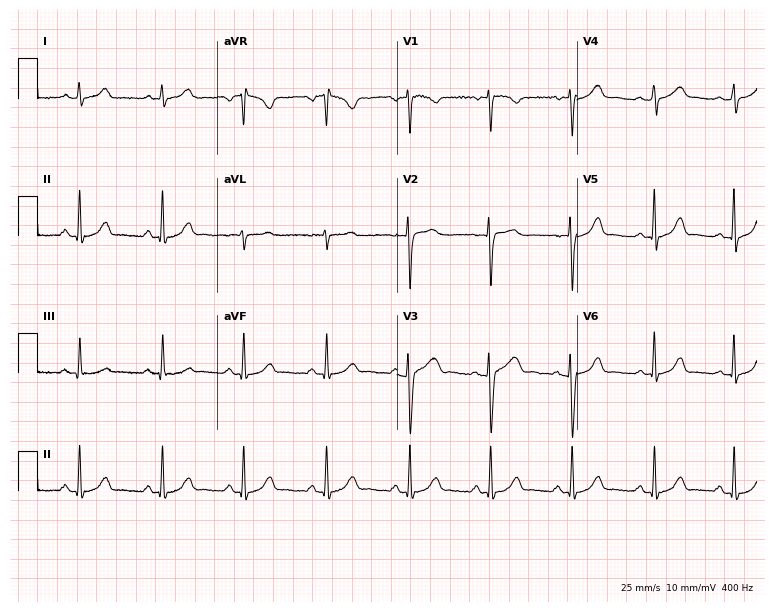
Electrocardiogram (7.3-second recording at 400 Hz), a 36-year-old female. Overall reading on record: normal ECG.